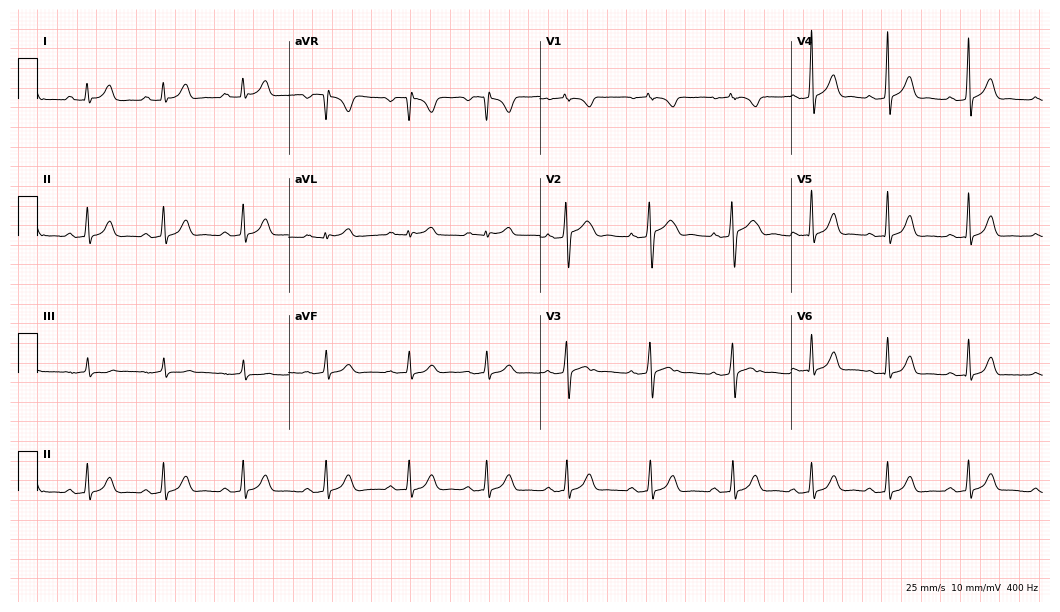
Standard 12-lead ECG recorded from an 18-year-old woman. Read as a normal ECG.